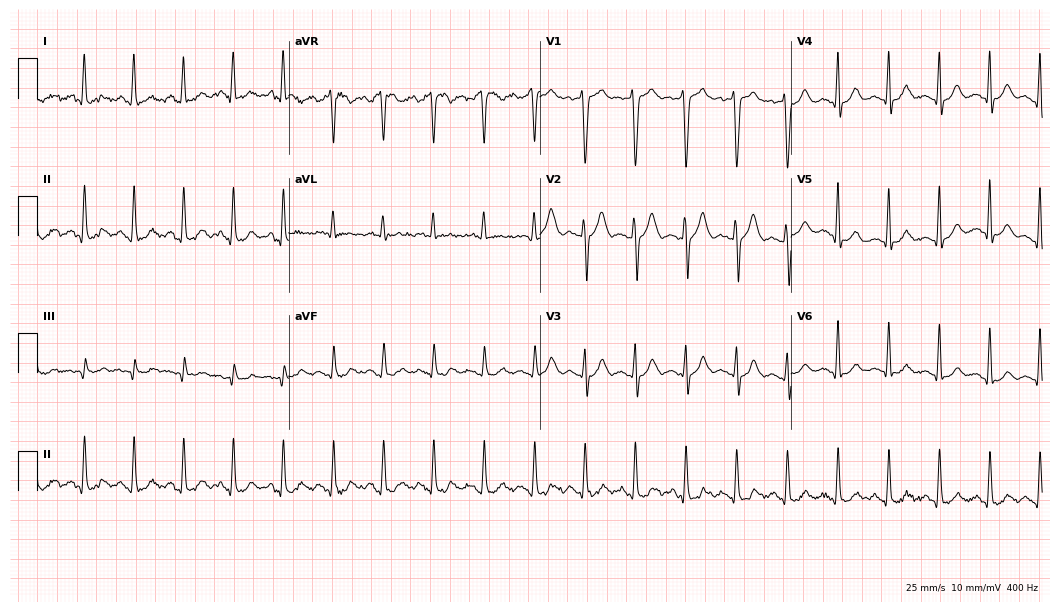
Electrocardiogram (10.2-second recording at 400 Hz), a man, 21 years old. Interpretation includes sinus tachycardia (a sinus rate of 100 beats per minute or more).